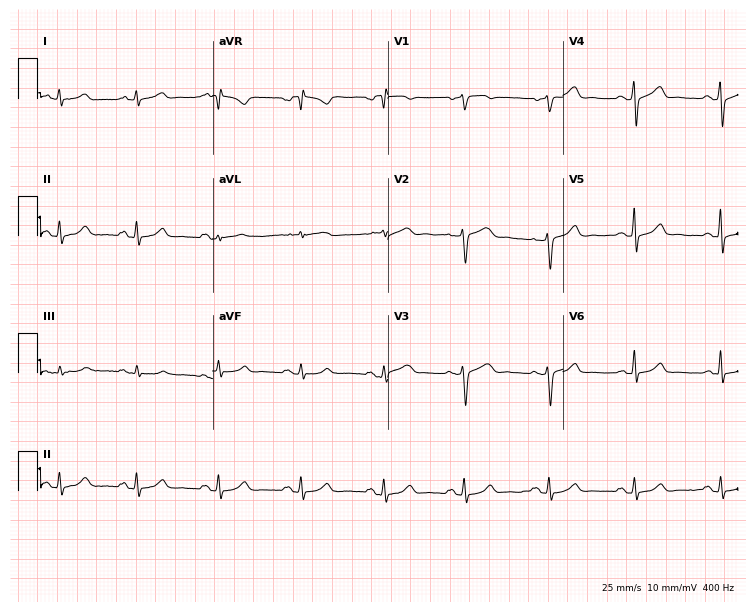
12-lead ECG from a male, 58 years old (7.1-second recording at 400 Hz). No first-degree AV block, right bundle branch block, left bundle branch block, sinus bradycardia, atrial fibrillation or sinus tachycardia recorded for this tracing. Findings outside these six are not listed.